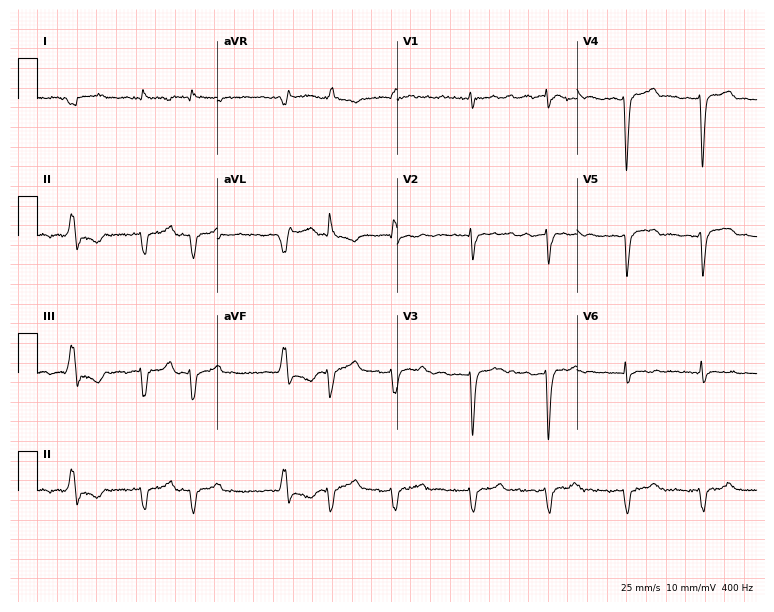
ECG — a male, 68 years old. Screened for six findings — first-degree AV block, right bundle branch block, left bundle branch block, sinus bradycardia, atrial fibrillation, sinus tachycardia — none is recorded. Other findings, if any, are not listed.